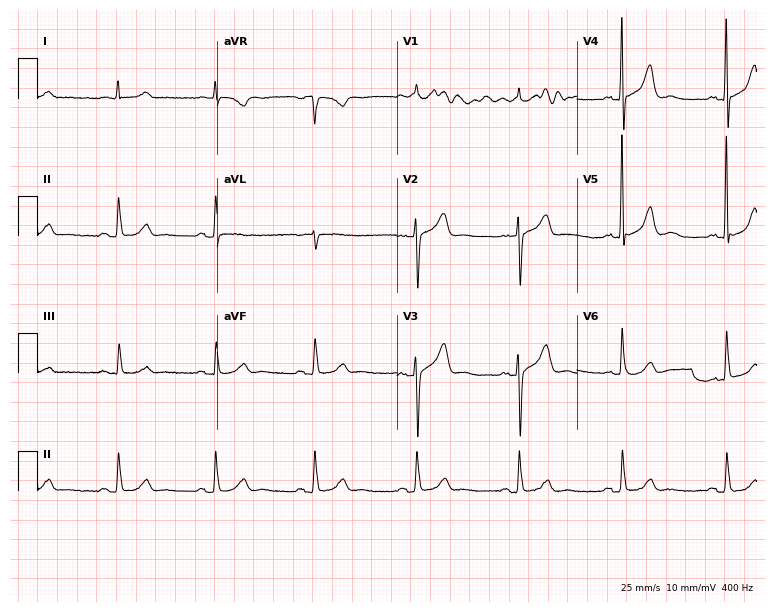
Standard 12-lead ECG recorded from a 79-year-old male patient. None of these six findings is recorded: first-degree AV block, right bundle branch block (RBBB), left bundle branch block (LBBB), sinus bradycardia, atrial fibrillation (AF), sinus tachycardia.